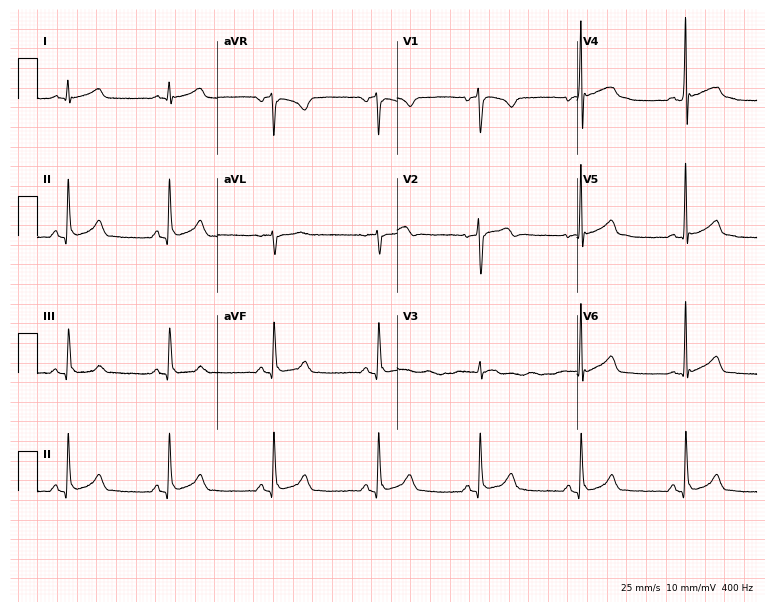
12-lead ECG from a male patient, 27 years old (7.3-second recording at 400 Hz). Recorded interpretation: within normal limits.